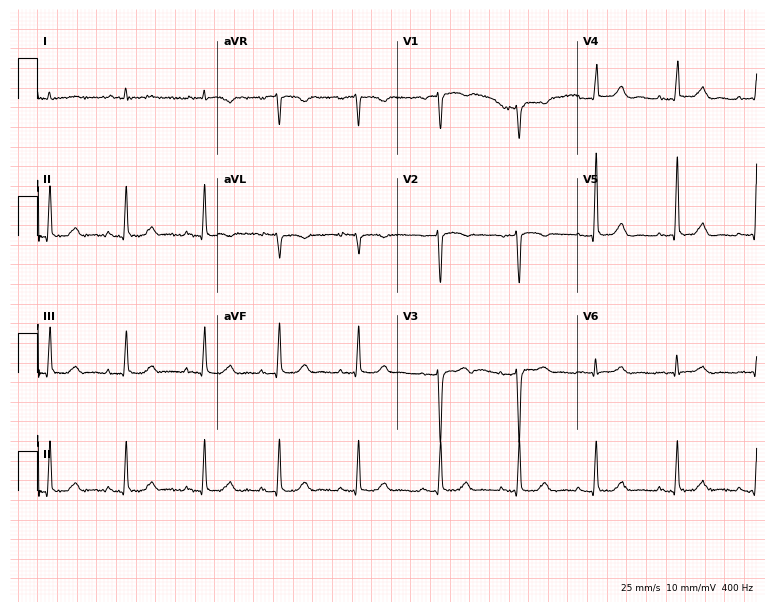
Resting 12-lead electrocardiogram (7.3-second recording at 400 Hz). Patient: a female, 68 years old. None of these six findings is recorded: first-degree AV block, right bundle branch block, left bundle branch block, sinus bradycardia, atrial fibrillation, sinus tachycardia. Other findings, if any, are not listed.